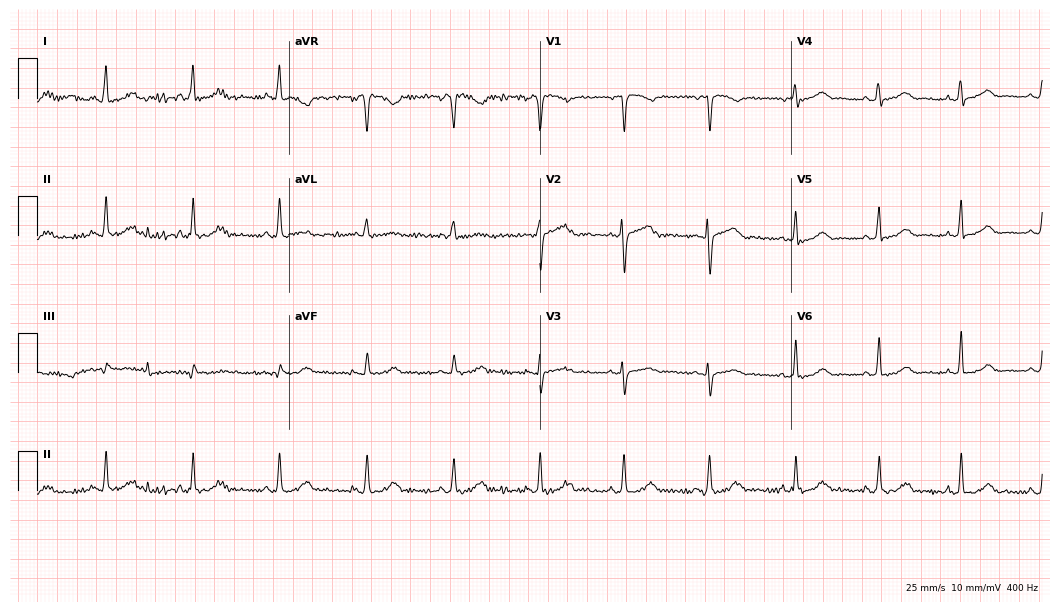
Resting 12-lead electrocardiogram. Patient: a female, 60 years old. Read as a normal ECG.